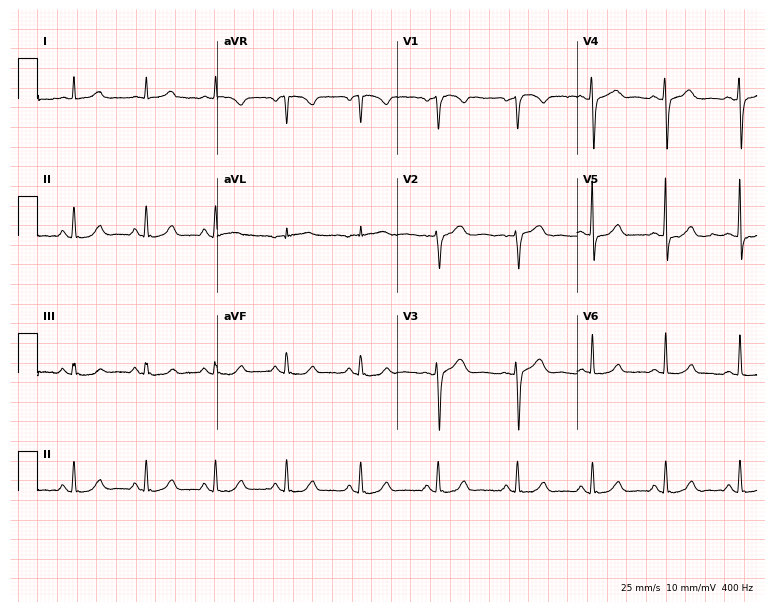
12-lead ECG from a female patient, 52 years old (7.3-second recording at 400 Hz). Recorded interpretation: within normal limits.